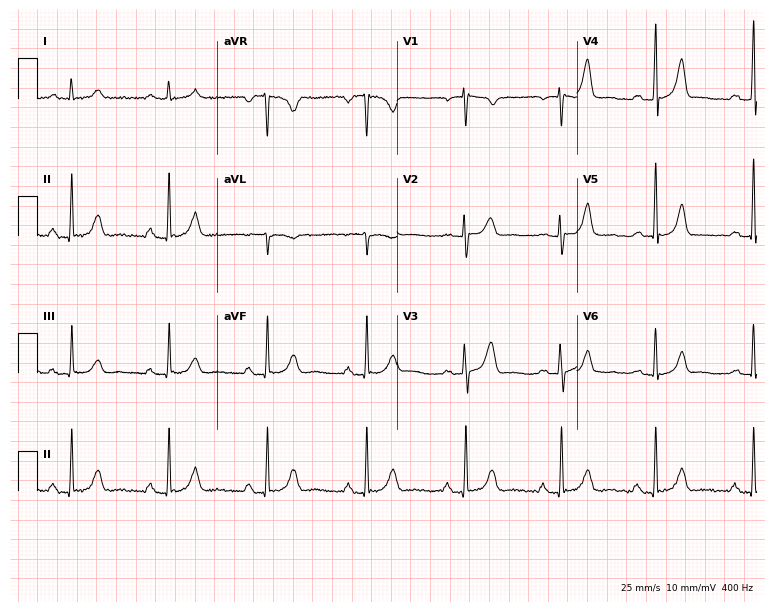
ECG — a female, 30 years old. Labelled as a normal ECG.